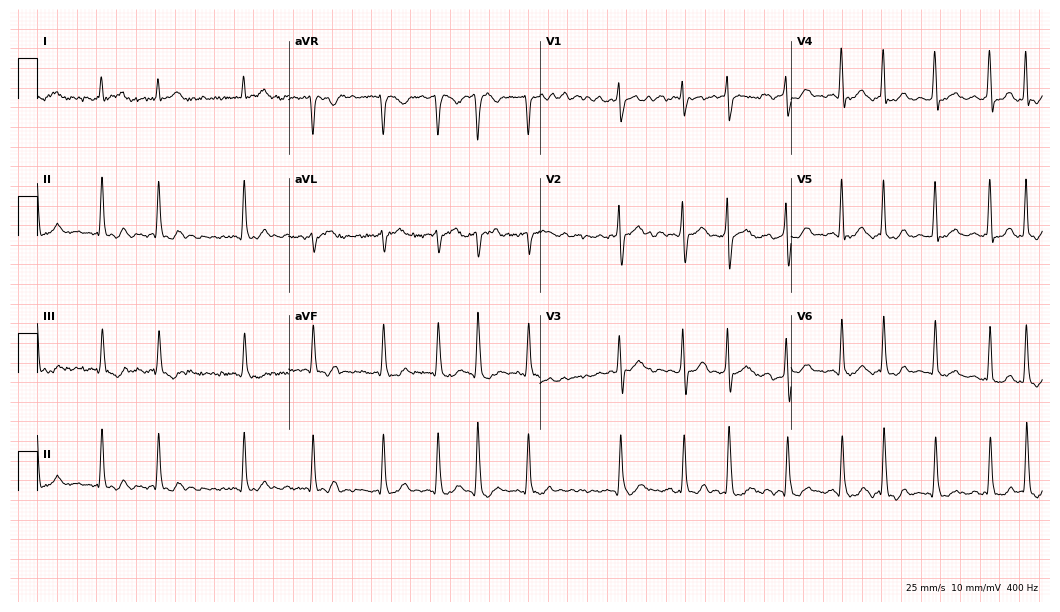
Standard 12-lead ECG recorded from a 59-year-old female patient. The tracing shows atrial fibrillation.